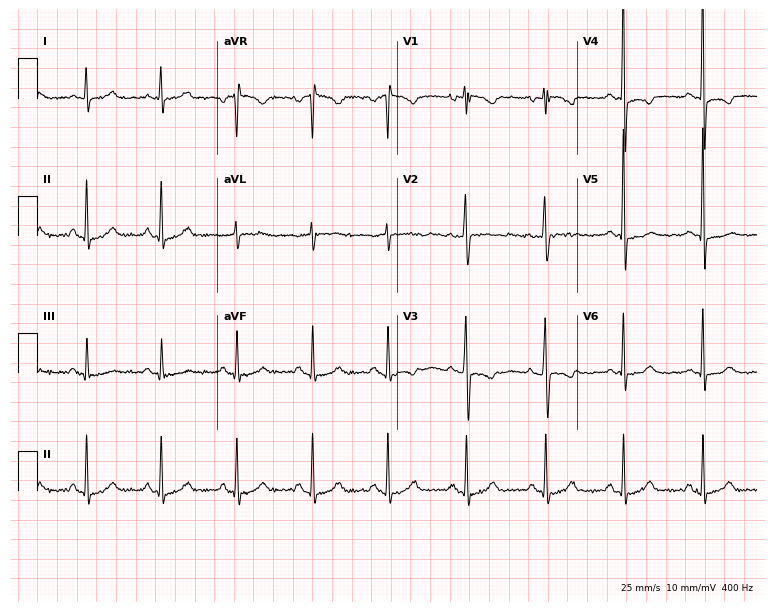
ECG (7.3-second recording at 400 Hz) — a 46-year-old woman. Screened for six findings — first-degree AV block, right bundle branch block, left bundle branch block, sinus bradycardia, atrial fibrillation, sinus tachycardia — none is recorded. Only these six findings were labelled.